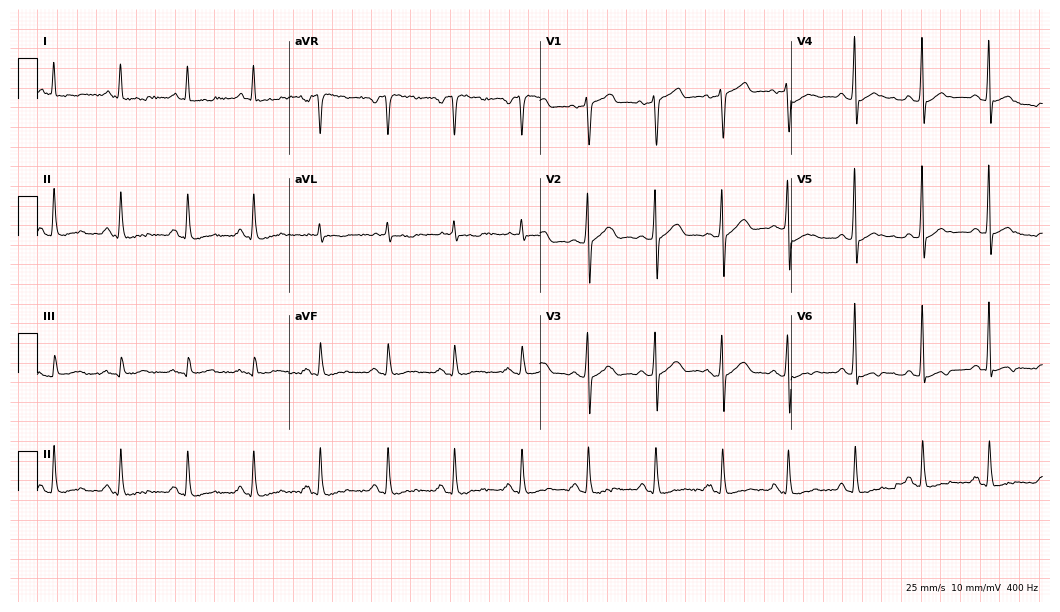
Resting 12-lead electrocardiogram. Patient: a 73-year-old female. None of these six findings is recorded: first-degree AV block, right bundle branch block (RBBB), left bundle branch block (LBBB), sinus bradycardia, atrial fibrillation (AF), sinus tachycardia. Findings outside these six are not listed.